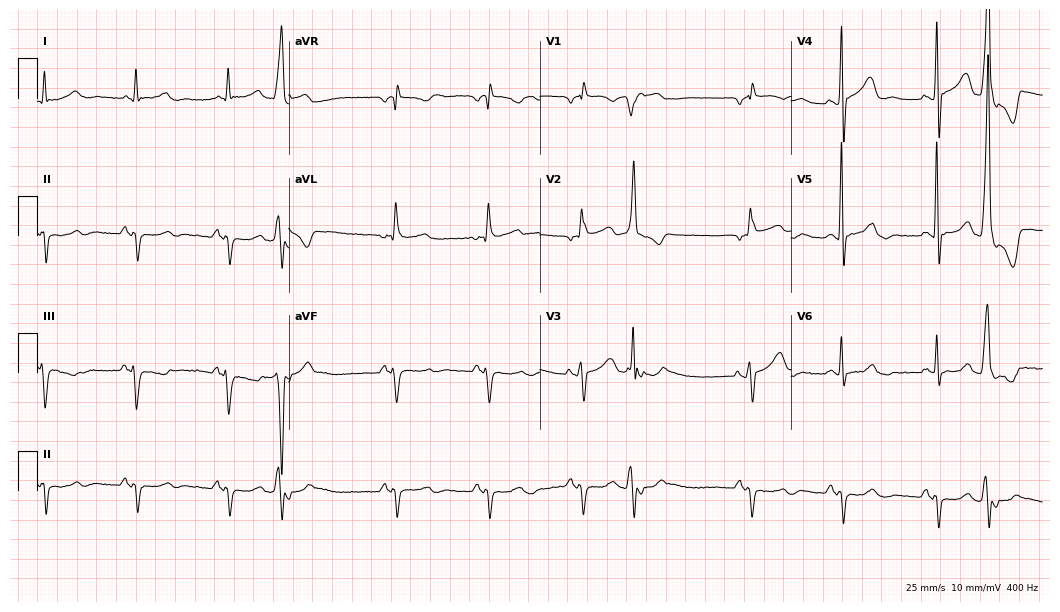
Resting 12-lead electrocardiogram. Patient: a 79-year-old male. None of these six findings is recorded: first-degree AV block, right bundle branch block (RBBB), left bundle branch block (LBBB), sinus bradycardia, atrial fibrillation (AF), sinus tachycardia. Only these six findings were labelled.